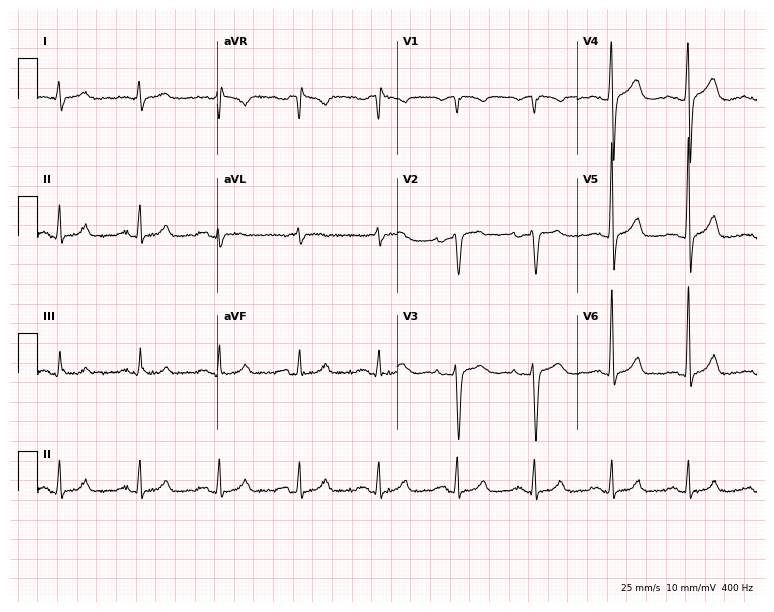
12-lead ECG (7.3-second recording at 400 Hz) from a female, 39 years old. Findings include first-degree AV block.